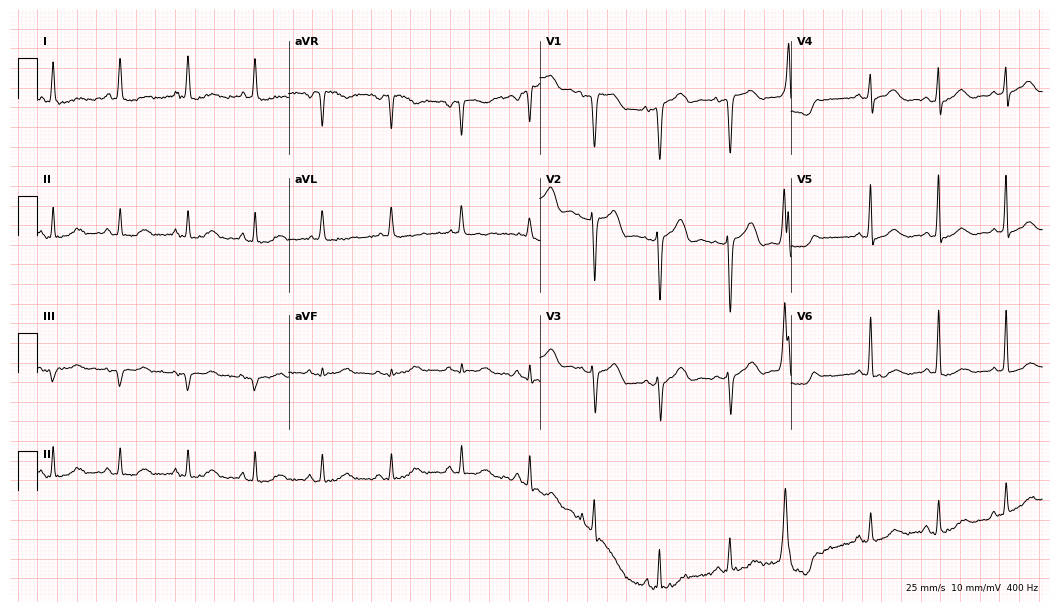
Electrocardiogram, a female patient, 85 years old. Of the six screened findings (first-degree AV block, right bundle branch block, left bundle branch block, sinus bradycardia, atrial fibrillation, sinus tachycardia), none is recorded. Findings outside these six are not listed.